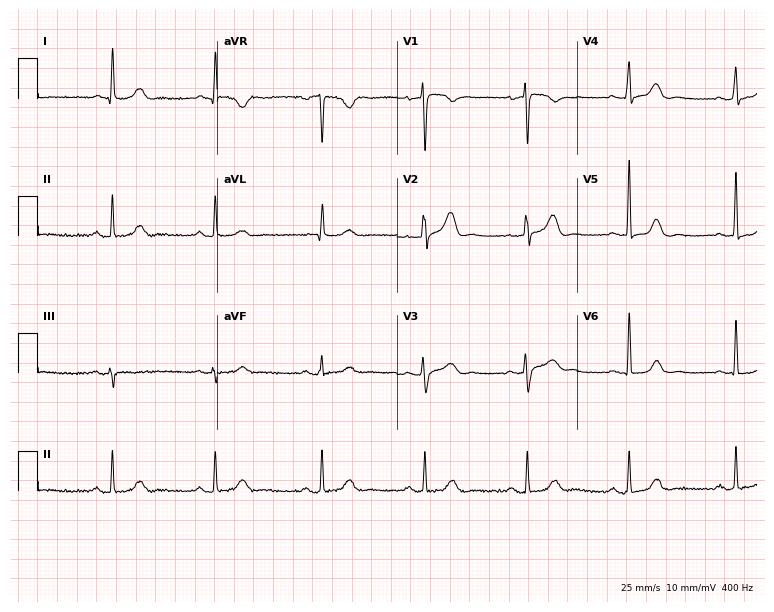
12-lead ECG (7.3-second recording at 400 Hz) from a 60-year-old female patient. Labelled as a normal ECG.